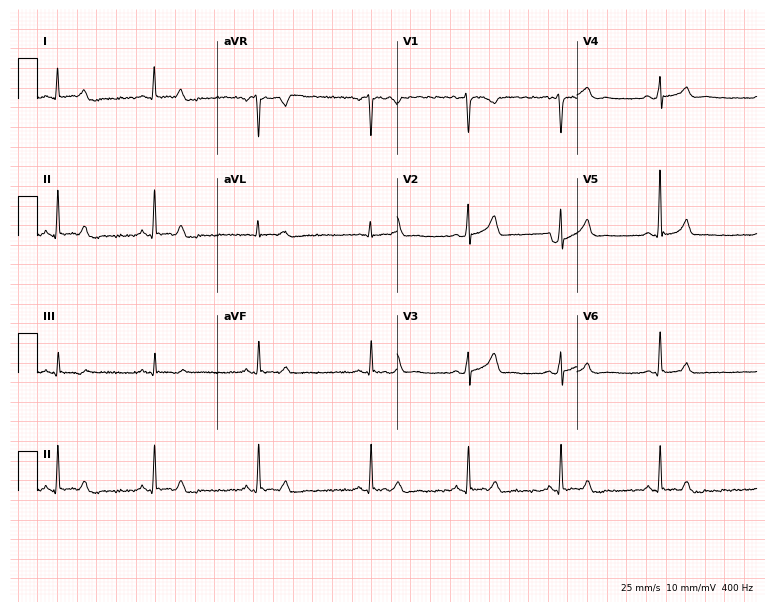
12-lead ECG from a 41-year-old female. Recorded interpretation: within normal limits.